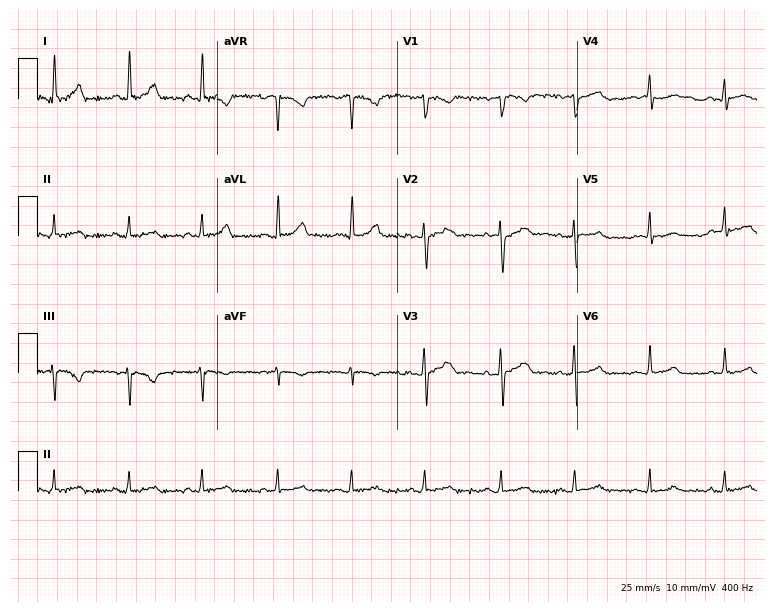
12-lead ECG from a female patient, 30 years old. Labelled as a normal ECG.